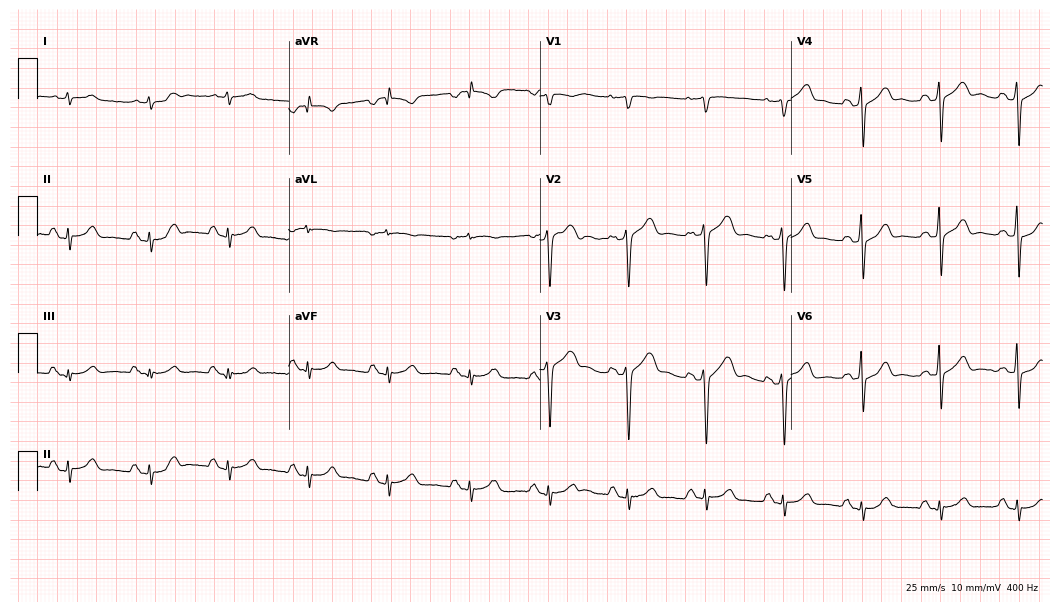
ECG (10.2-second recording at 400 Hz) — a 63-year-old male. Screened for six findings — first-degree AV block, right bundle branch block (RBBB), left bundle branch block (LBBB), sinus bradycardia, atrial fibrillation (AF), sinus tachycardia — none is recorded.